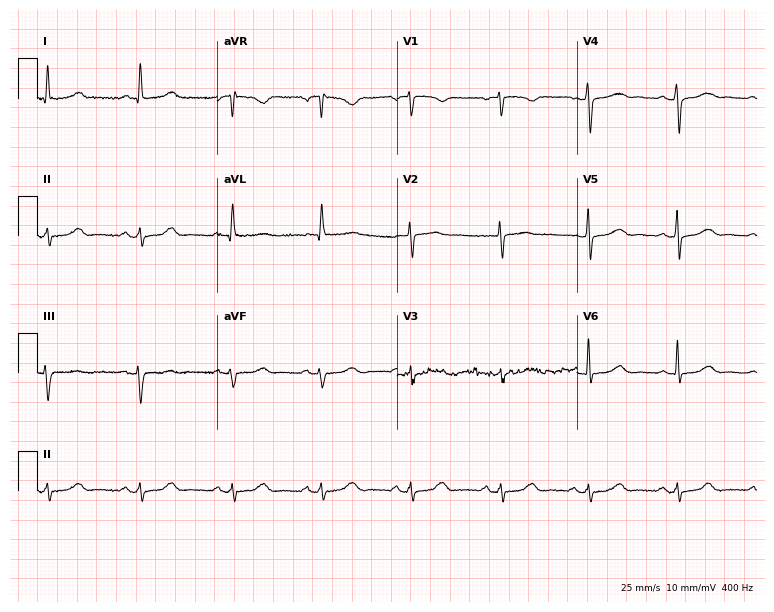
Electrocardiogram (7.3-second recording at 400 Hz), a woman, 49 years old. Of the six screened findings (first-degree AV block, right bundle branch block, left bundle branch block, sinus bradycardia, atrial fibrillation, sinus tachycardia), none is recorded. Findings outside these six are not listed.